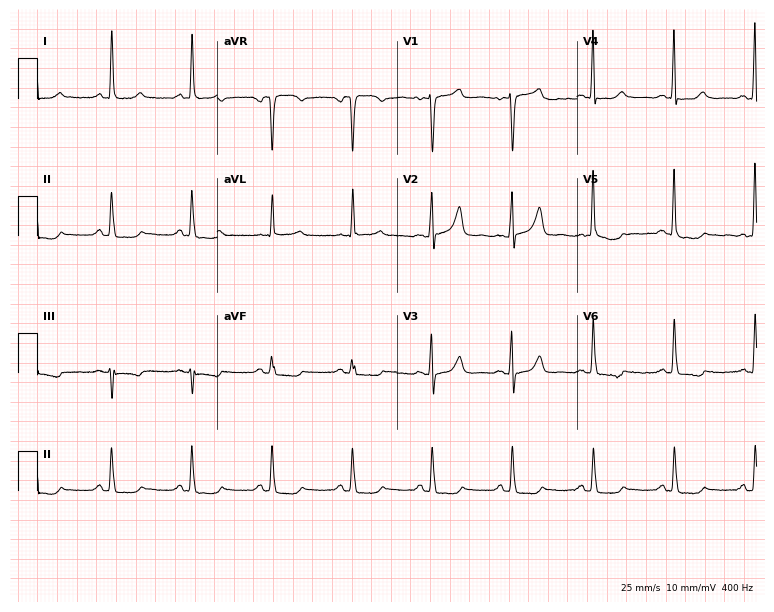
Electrocardiogram (7.3-second recording at 400 Hz), a female, 45 years old. Of the six screened findings (first-degree AV block, right bundle branch block (RBBB), left bundle branch block (LBBB), sinus bradycardia, atrial fibrillation (AF), sinus tachycardia), none is recorded.